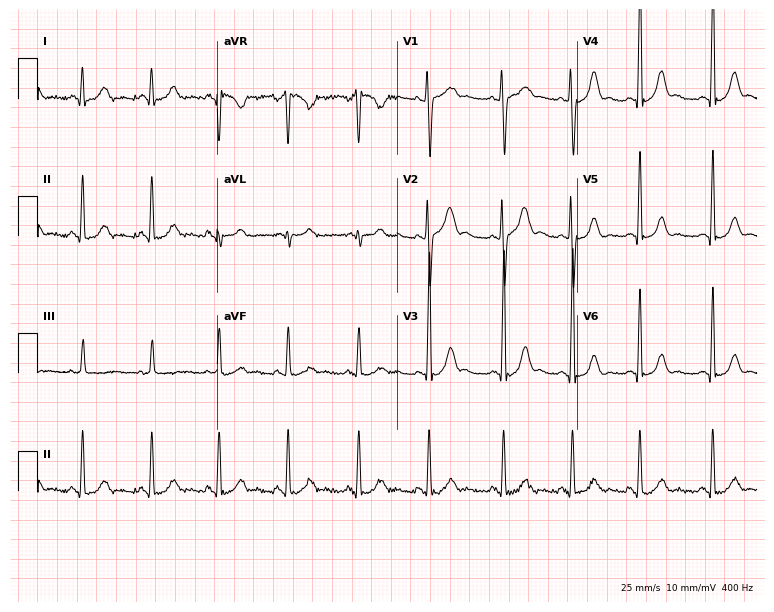
Electrocardiogram, a 17-year-old woman. Of the six screened findings (first-degree AV block, right bundle branch block, left bundle branch block, sinus bradycardia, atrial fibrillation, sinus tachycardia), none is recorded.